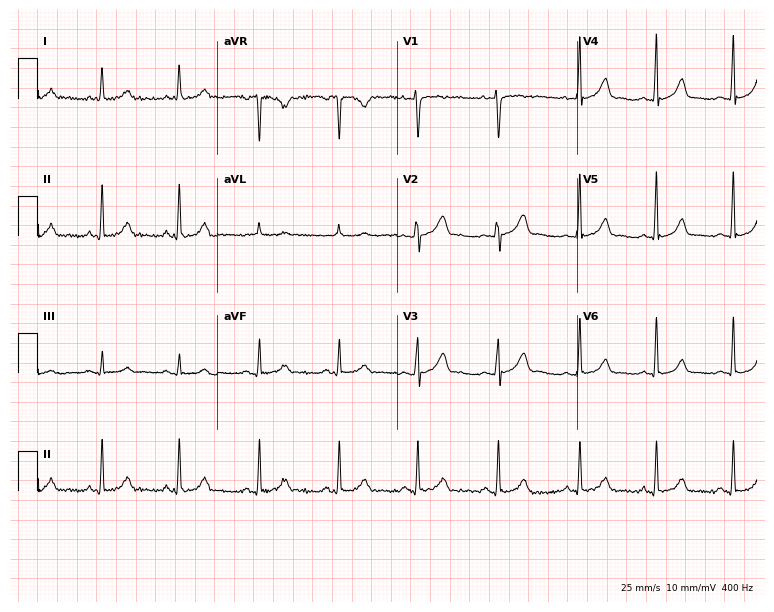
12-lead ECG from a 28-year-old female. Screened for six findings — first-degree AV block, right bundle branch block (RBBB), left bundle branch block (LBBB), sinus bradycardia, atrial fibrillation (AF), sinus tachycardia — none is recorded.